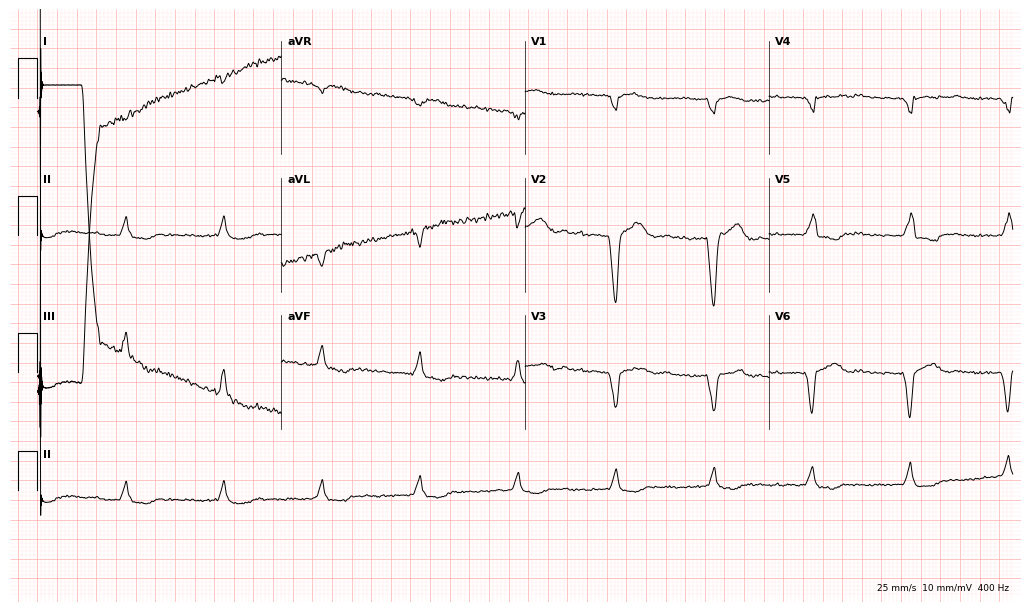
12-lead ECG from a man, 73 years old. No first-degree AV block, right bundle branch block (RBBB), left bundle branch block (LBBB), sinus bradycardia, atrial fibrillation (AF) or sinus tachycardia recorded for this tracing. Findings outside these six are not listed.